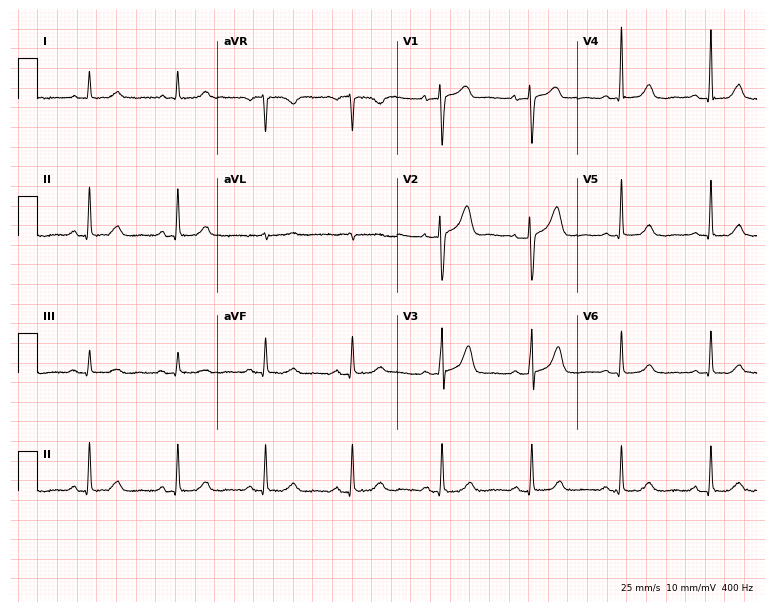
12-lead ECG (7.3-second recording at 400 Hz) from a female patient, 74 years old. Labelled as a normal ECG.